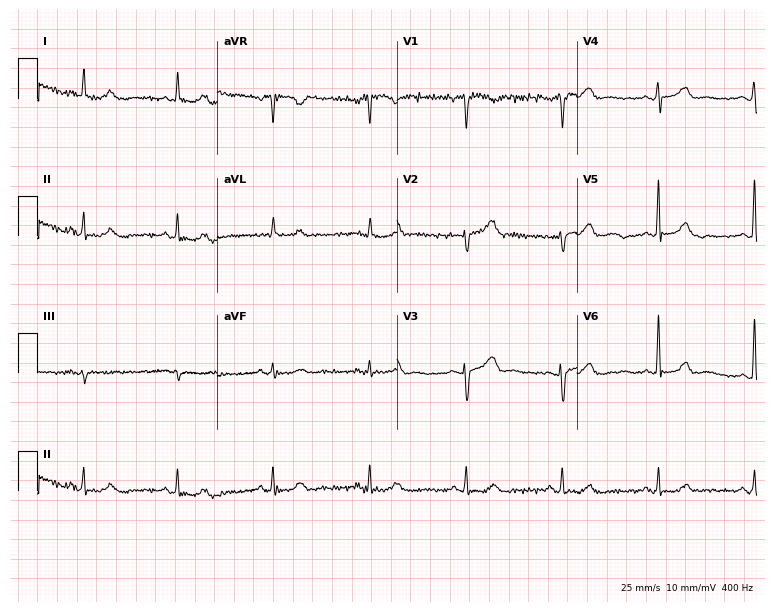
12-lead ECG from an 84-year-old female patient. Recorded interpretation: within normal limits.